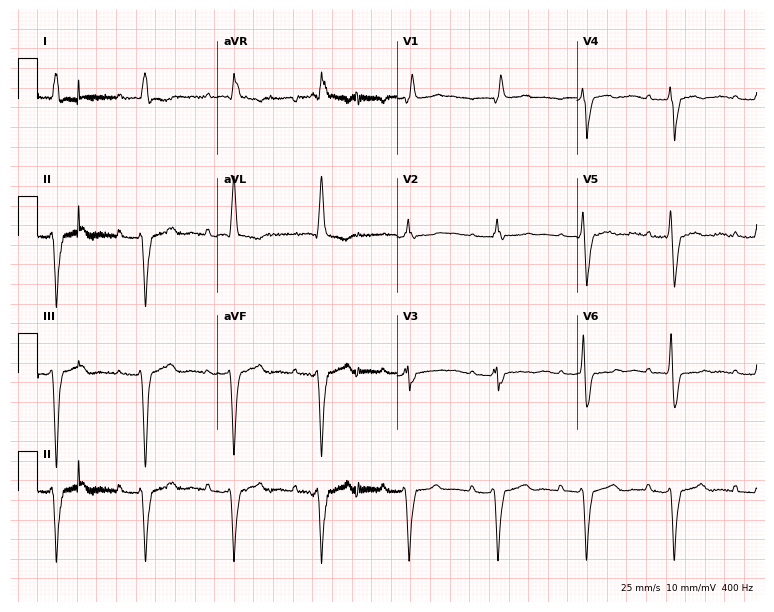
ECG — a man, 81 years old. Screened for six findings — first-degree AV block, right bundle branch block (RBBB), left bundle branch block (LBBB), sinus bradycardia, atrial fibrillation (AF), sinus tachycardia — none is recorded.